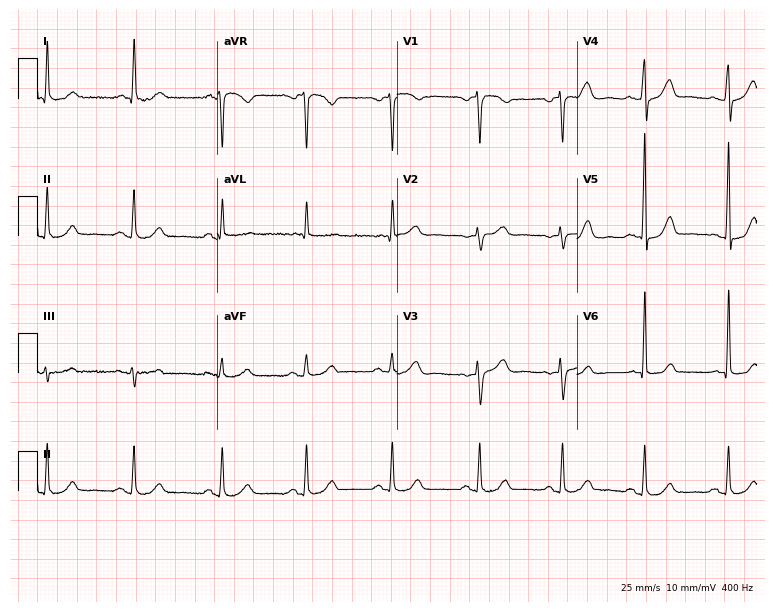
Standard 12-lead ECG recorded from a 66-year-old female patient (7.3-second recording at 400 Hz). Read as a normal ECG.